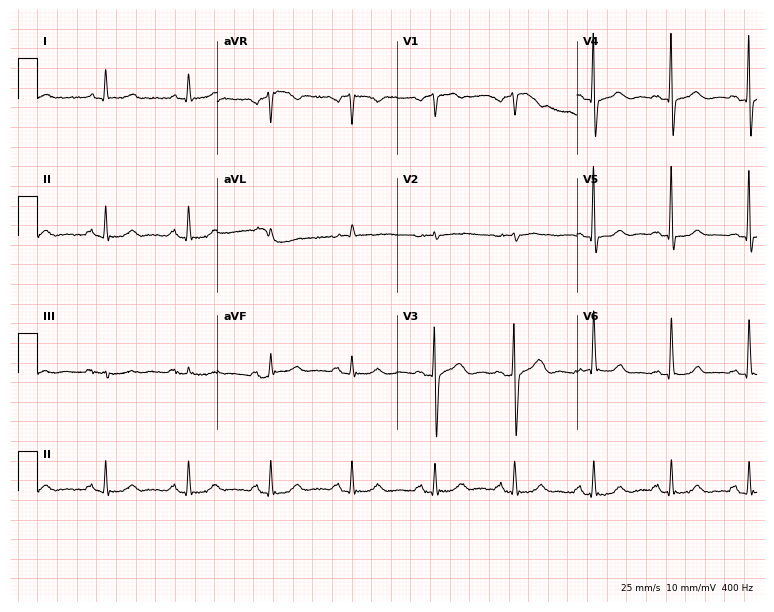
Standard 12-lead ECG recorded from a male patient, 82 years old (7.3-second recording at 400 Hz). Read as a normal ECG.